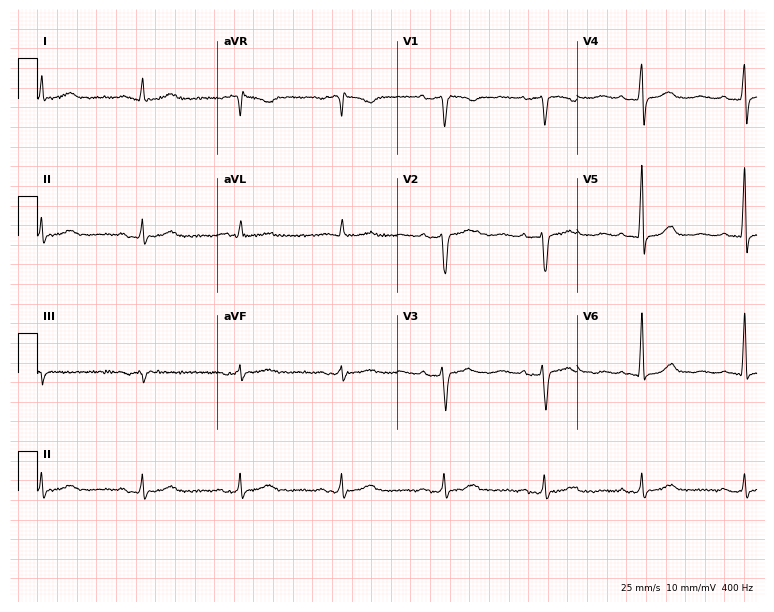
Standard 12-lead ECG recorded from a female patient, 57 years old (7.3-second recording at 400 Hz). The tracing shows first-degree AV block.